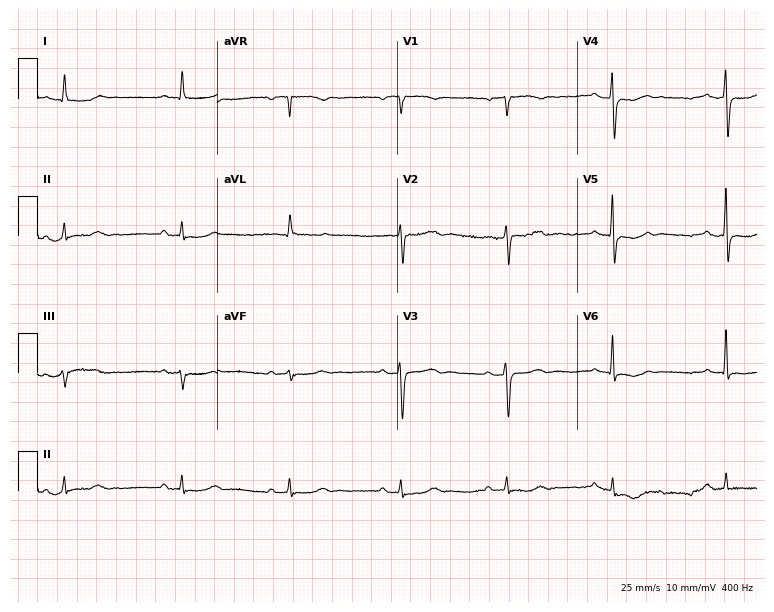
12-lead ECG (7.3-second recording at 400 Hz) from a female, 78 years old. Screened for six findings — first-degree AV block, right bundle branch block, left bundle branch block, sinus bradycardia, atrial fibrillation, sinus tachycardia — none is recorded. Other findings, if any, are not listed.